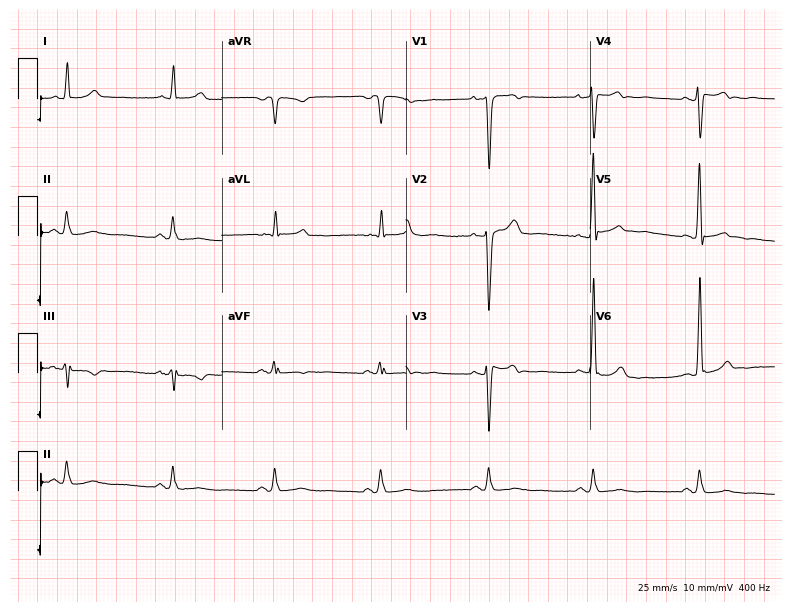
12-lead ECG from a 45-year-old male. Labelled as a normal ECG.